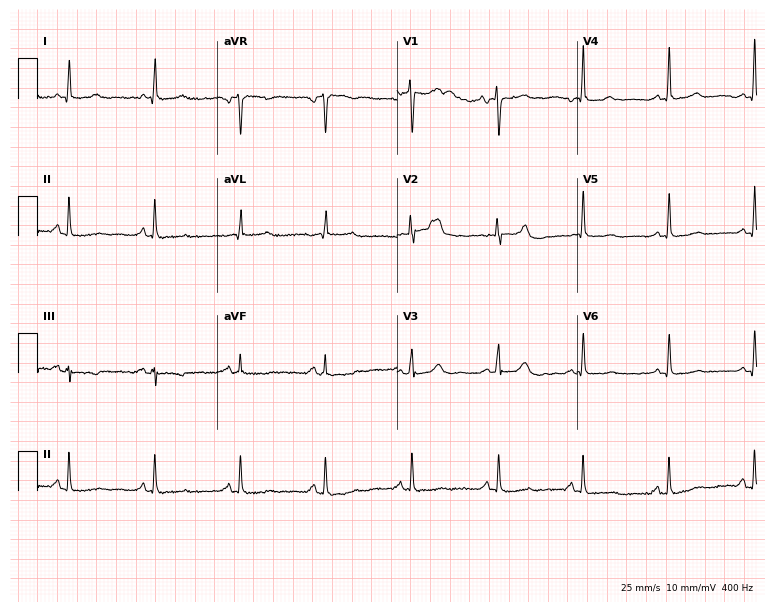
ECG — a female patient, 55 years old. Labelled as a normal ECG.